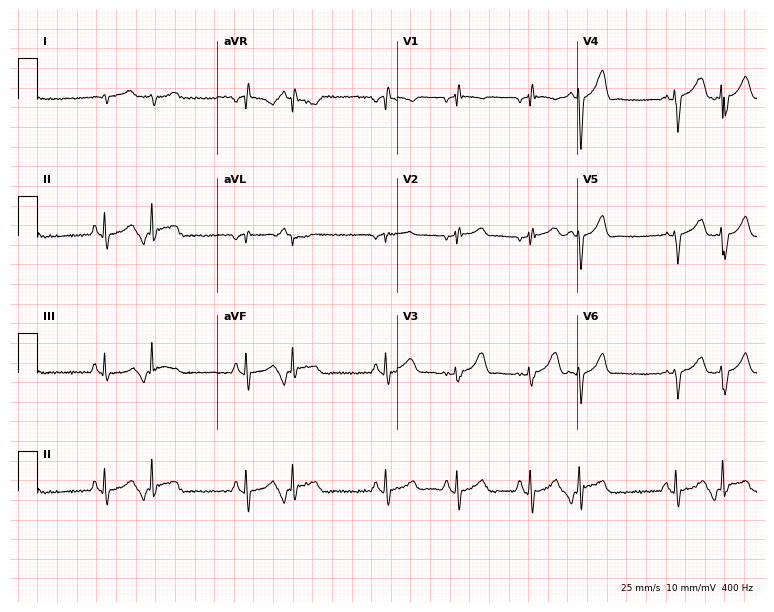
Standard 12-lead ECG recorded from a male patient, 69 years old (7.3-second recording at 400 Hz). None of these six findings is recorded: first-degree AV block, right bundle branch block (RBBB), left bundle branch block (LBBB), sinus bradycardia, atrial fibrillation (AF), sinus tachycardia. Only these six findings were labelled.